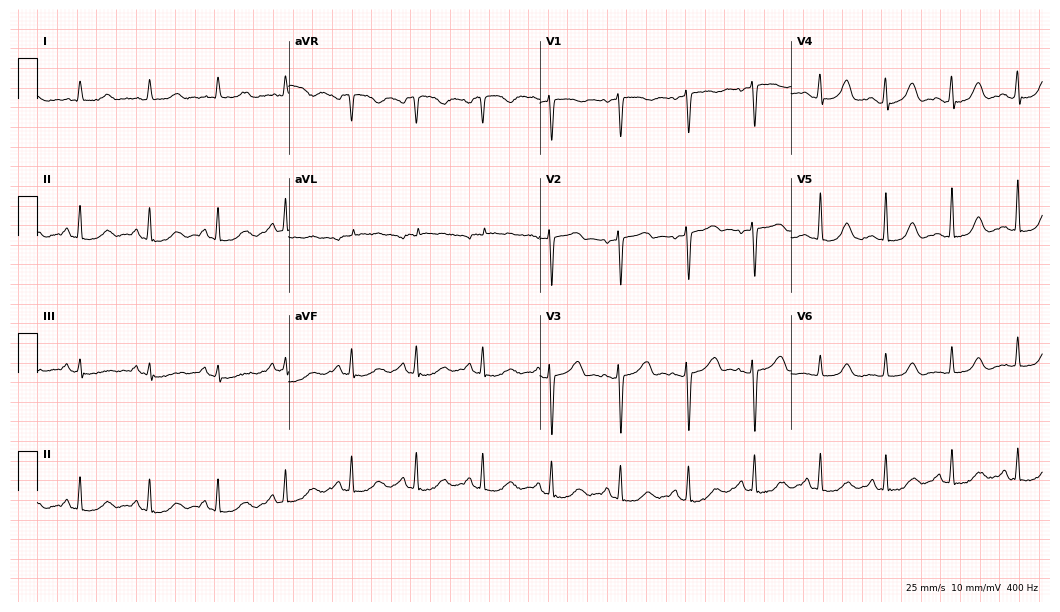
ECG (10.2-second recording at 400 Hz) — a female patient, 51 years old. Screened for six findings — first-degree AV block, right bundle branch block, left bundle branch block, sinus bradycardia, atrial fibrillation, sinus tachycardia — none is recorded.